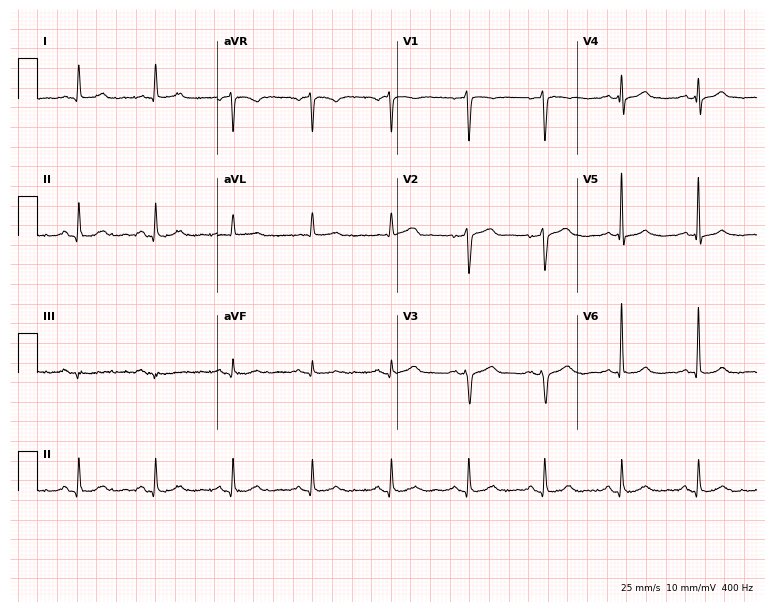
Standard 12-lead ECG recorded from a 72-year-old woman. None of these six findings is recorded: first-degree AV block, right bundle branch block (RBBB), left bundle branch block (LBBB), sinus bradycardia, atrial fibrillation (AF), sinus tachycardia.